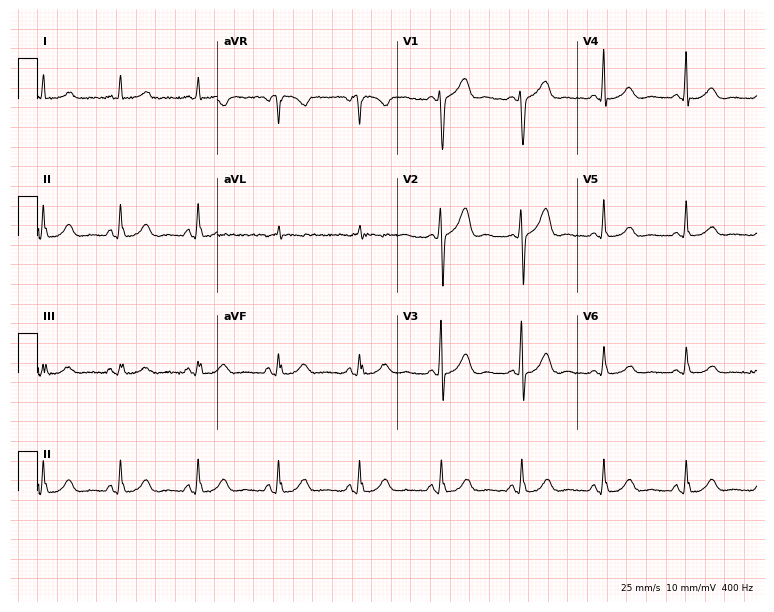
ECG (7.3-second recording at 400 Hz) — a 62-year-old woman. Labelled as a normal ECG.